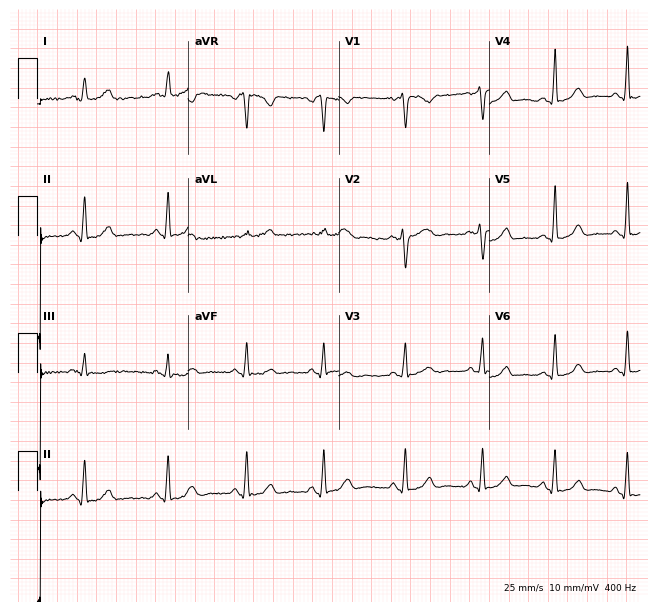
12-lead ECG (6.1-second recording at 400 Hz) from a 28-year-old female patient. Labelled as a normal ECG.